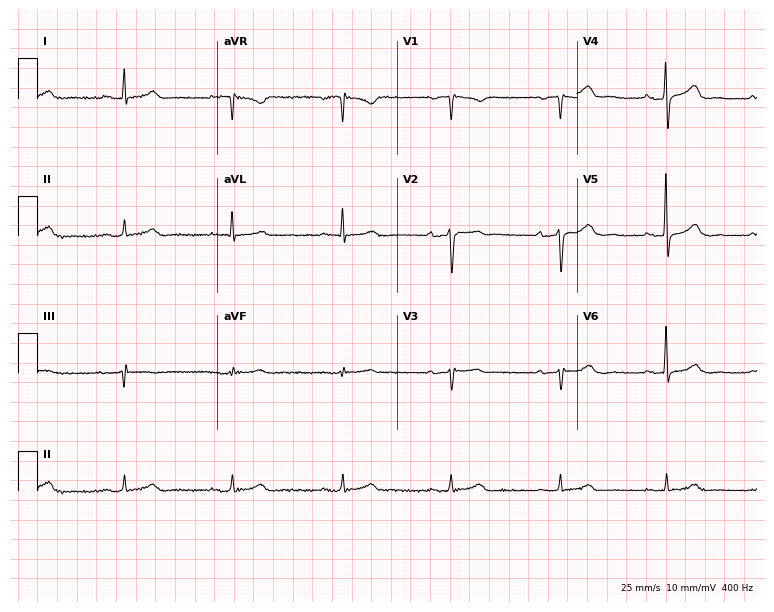
ECG (7.3-second recording at 400 Hz) — a male patient, 61 years old. Labelled as a normal ECG.